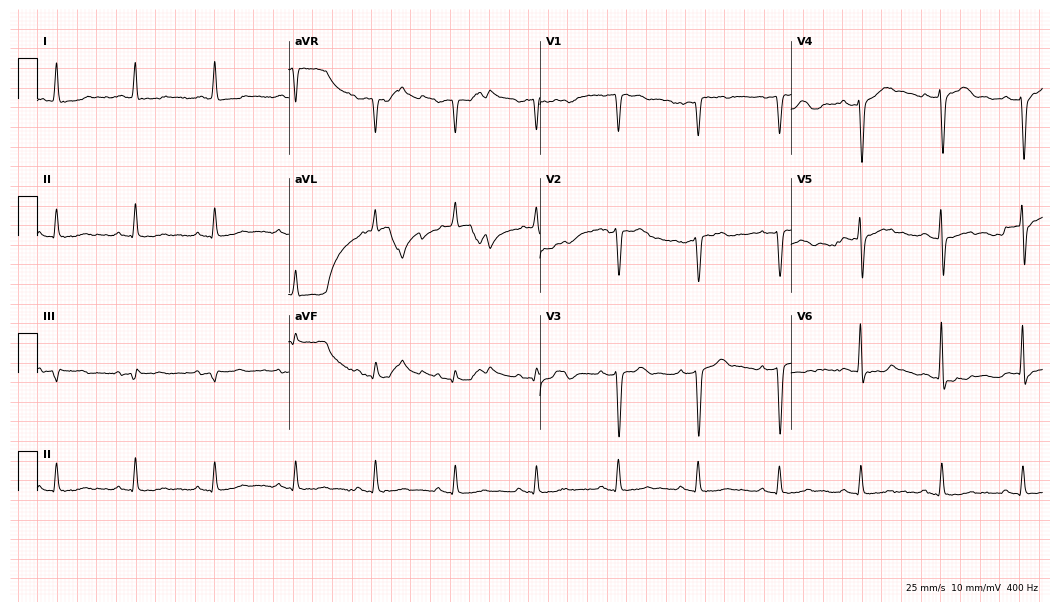
12-lead ECG (10.2-second recording at 400 Hz) from a 74-year-old man. Labelled as a normal ECG.